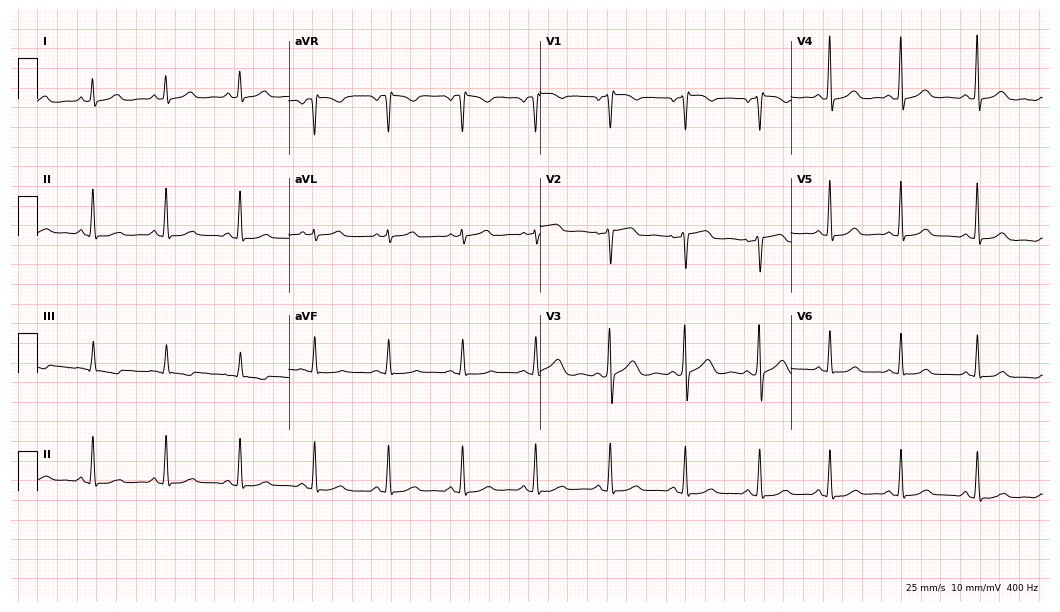
12-lead ECG (10.2-second recording at 400 Hz) from a 47-year-old female patient. Labelled as a normal ECG.